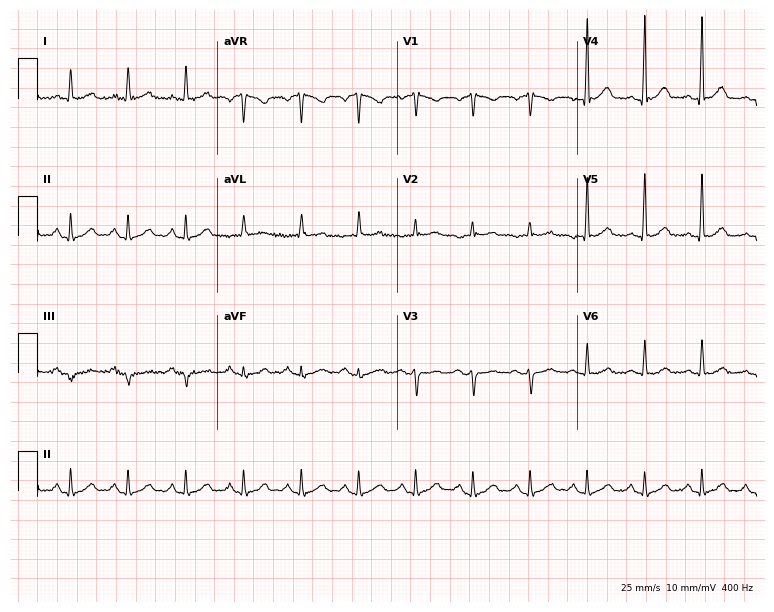
Resting 12-lead electrocardiogram. Patient: a 62-year-old man. The tracing shows sinus tachycardia (a sinus rate of 100 beats per minute or more).